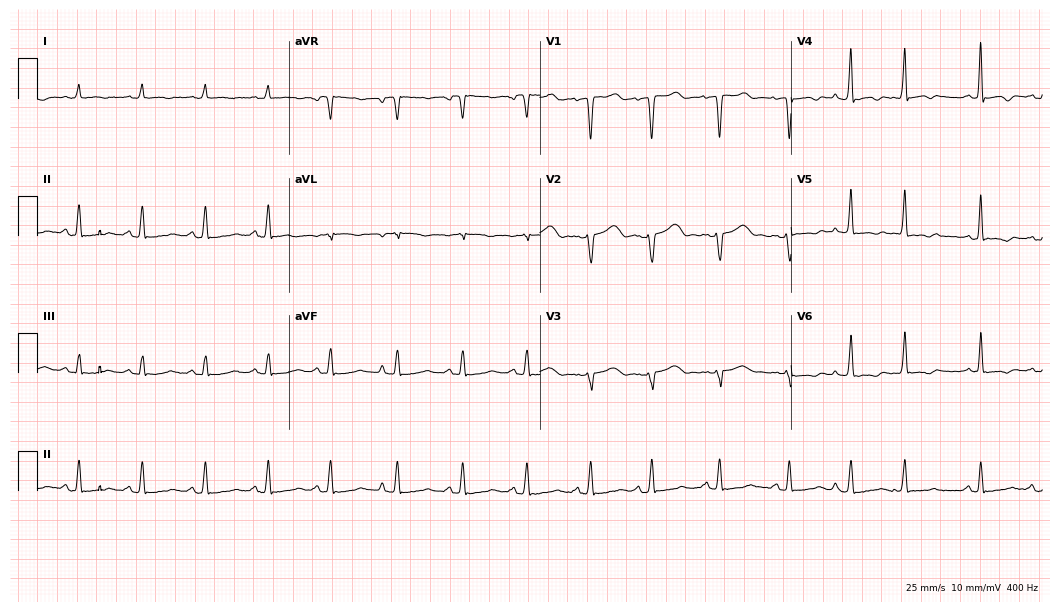
Standard 12-lead ECG recorded from a 69-year-old female (10.2-second recording at 400 Hz). None of these six findings is recorded: first-degree AV block, right bundle branch block (RBBB), left bundle branch block (LBBB), sinus bradycardia, atrial fibrillation (AF), sinus tachycardia.